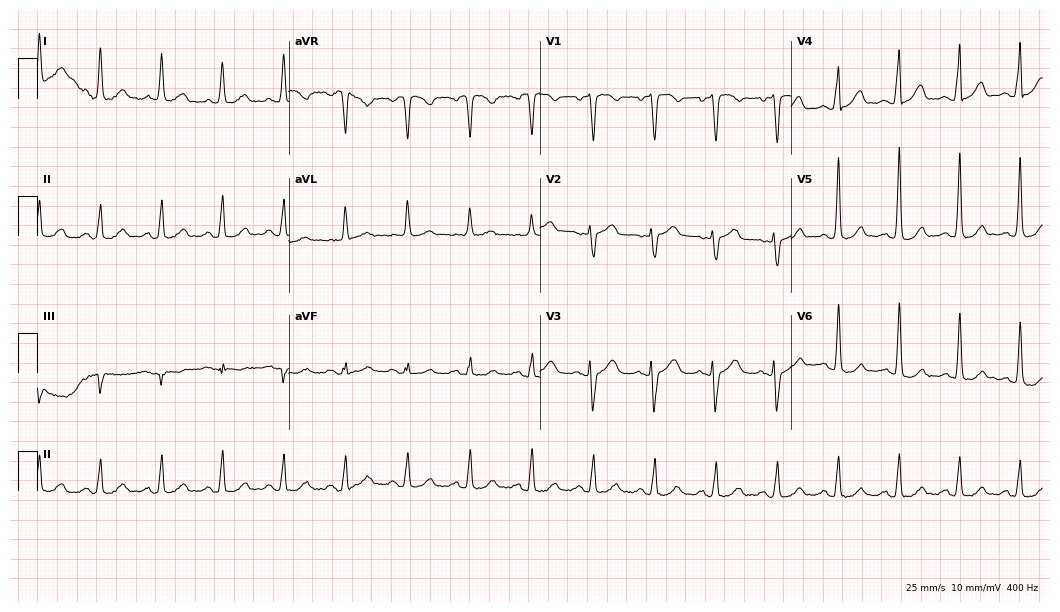
ECG — a 66-year-old woman. Screened for six findings — first-degree AV block, right bundle branch block, left bundle branch block, sinus bradycardia, atrial fibrillation, sinus tachycardia — none is recorded.